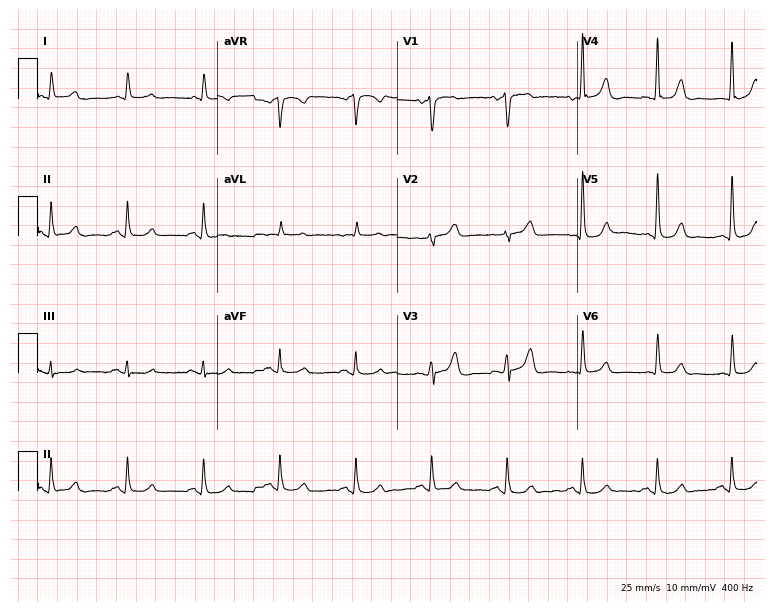
Electrocardiogram (7.3-second recording at 400 Hz), an 80-year-old male. Overall reading on record: normal ECG.